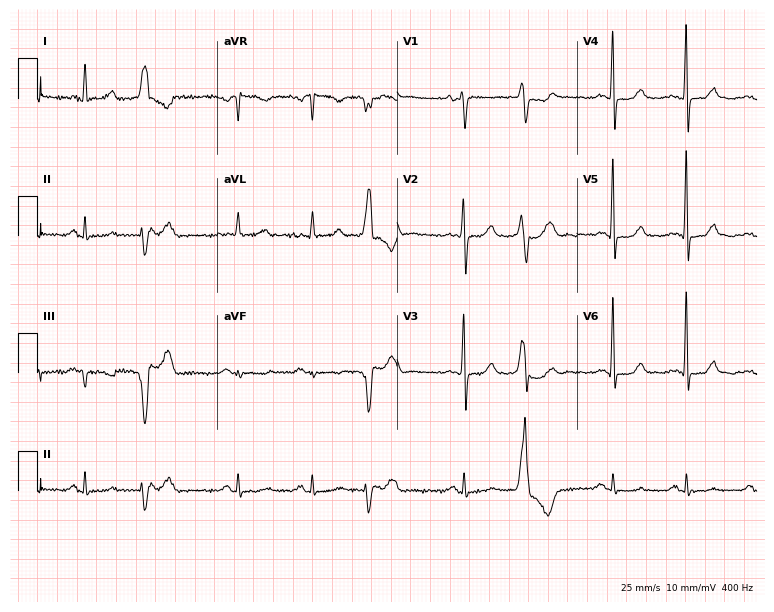
Electrocardiogram, a woman, 78 years old. Of the six screened findings (first-degree AV block, right bundle branch block, left bundle branch block, sinus bradycardia, atrial fibrillation, sinus tachycardia), none is recorded. Other findings, if any, are not listed.